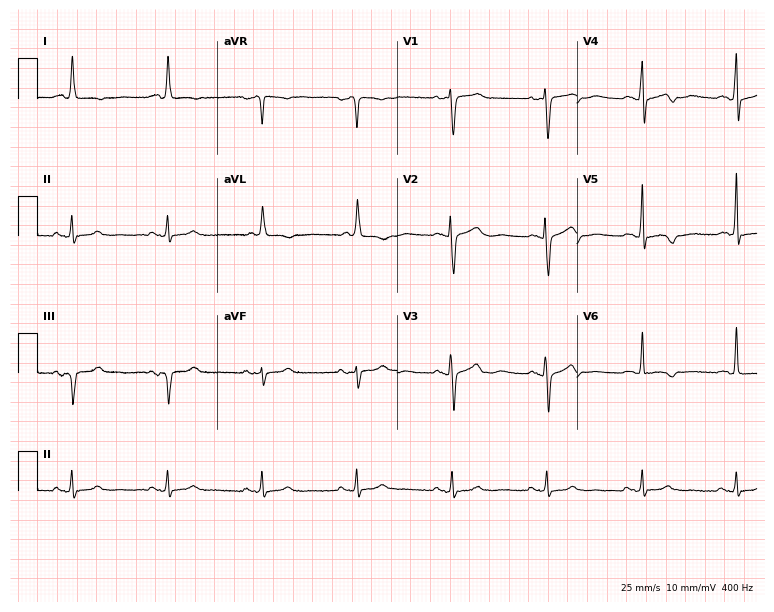
12-lead ECG from a 79-year-old woman (7.3-second recording at 400 Hz). No first-degree AV block, right bundle branch block (RBBB), left bundle branch block (LBBB), sinus bradycardia, atrial fibrillation (AF) or sinus tachycardia recorded for this tracing.